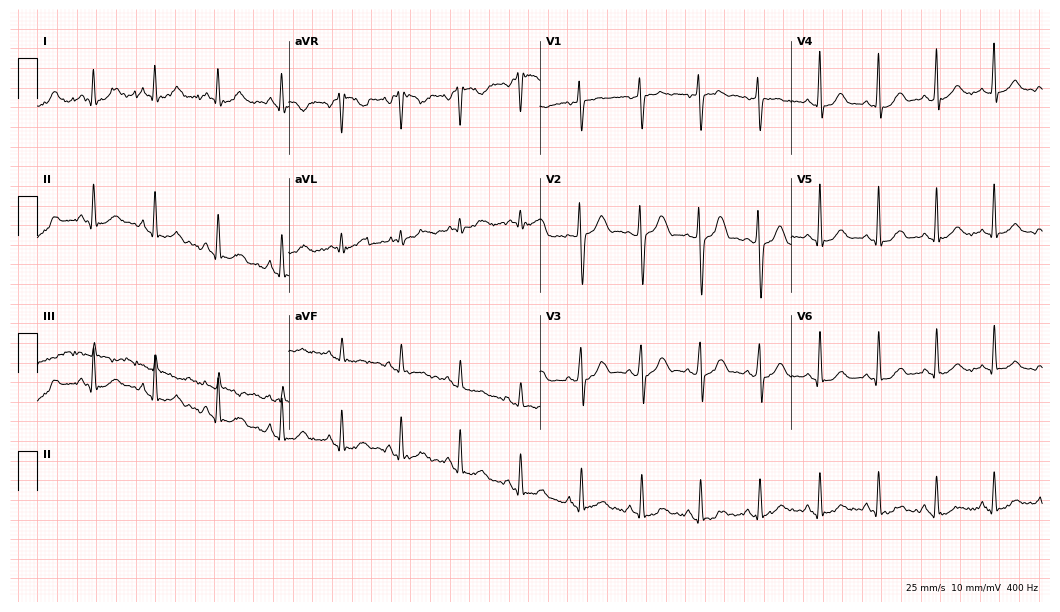
Electrocardiogram (10.2-second recording at 400 Hz), a male patient, 32 years old. Overall reading on record: normal ECG.